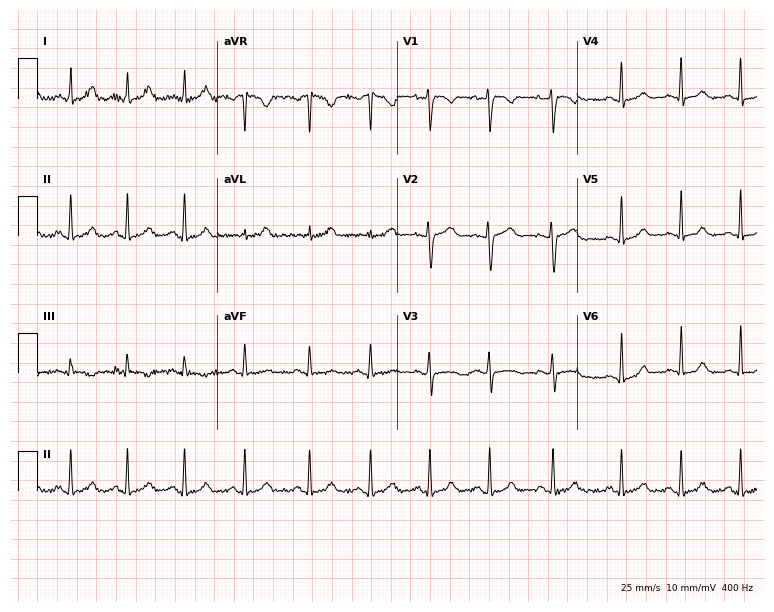
ECG — a female patient, 21 years old. Labelled as a normal ECG.